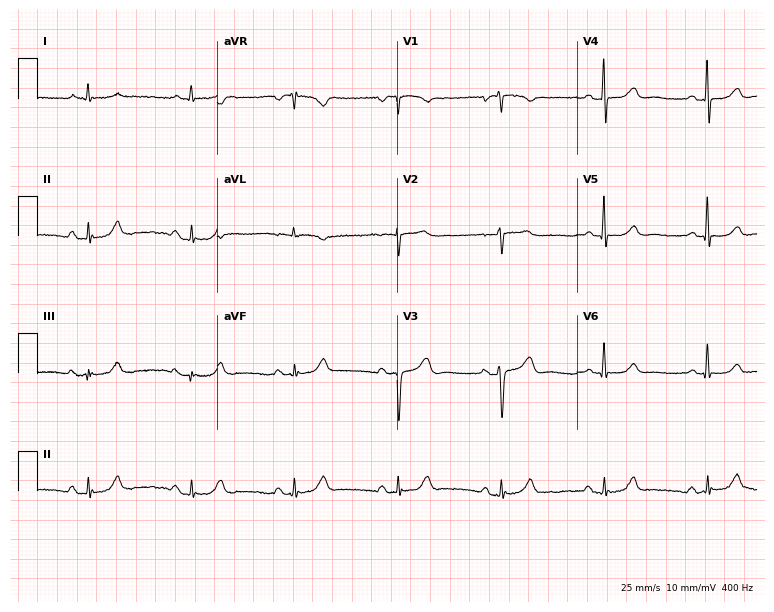
12-lead ECG from a 67-year-old male. No first-degree AV block, right bundle branch block (RBBB), left bundle branch block (LBBB), sinus bradycardia, atrial fibrillation (AF) or sinus tachycardia recorded for this tracing.